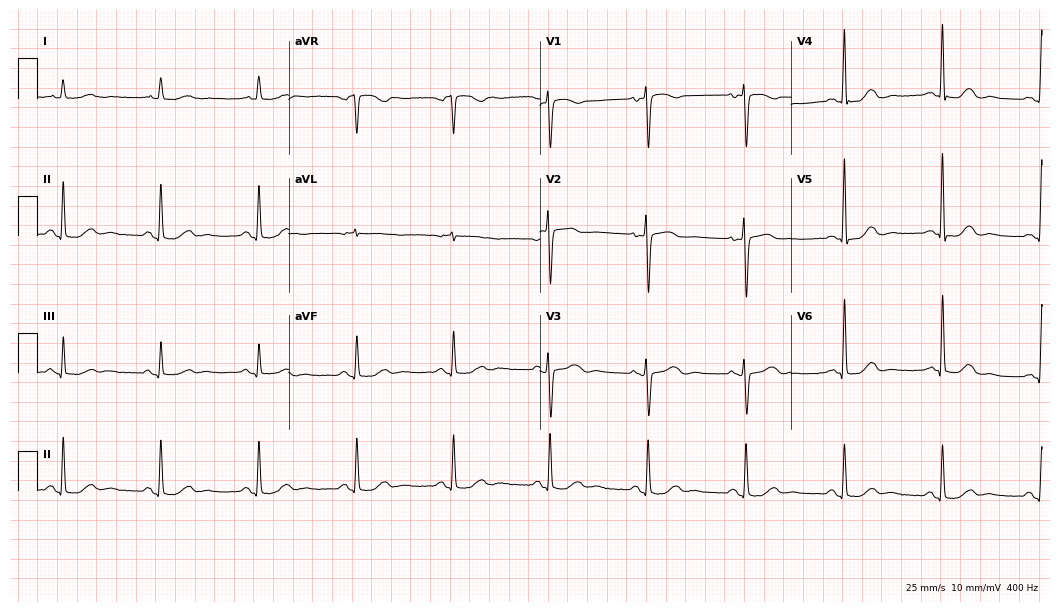
Electrocardiogram, a female, 71 years old. Overall reading on record: normal ECG.